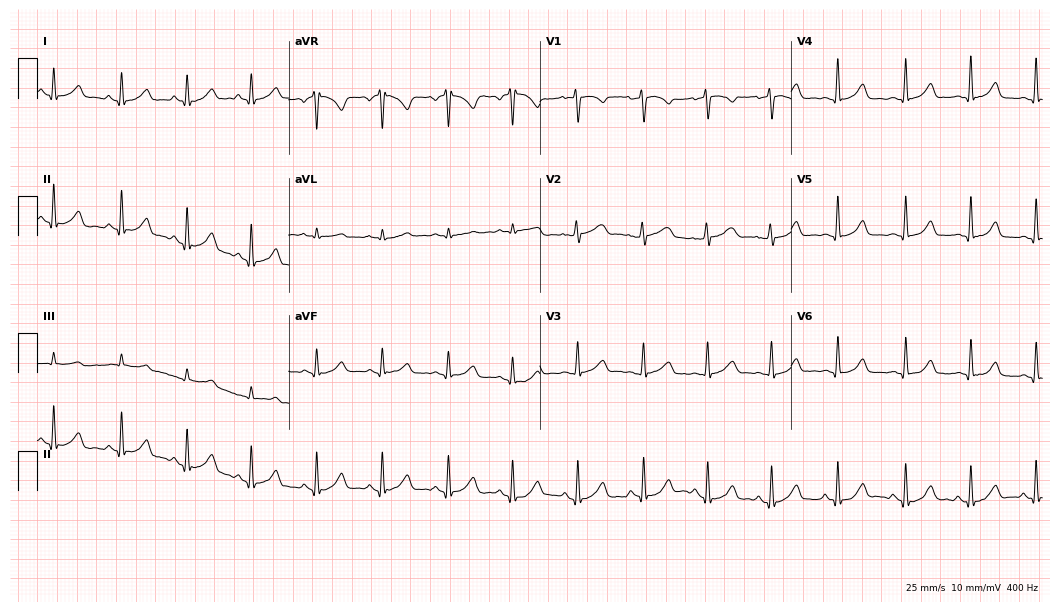
ECG (10.2-second recording at 400 Hz) — a 31-year-old woman. Labelled as a normal ECG.